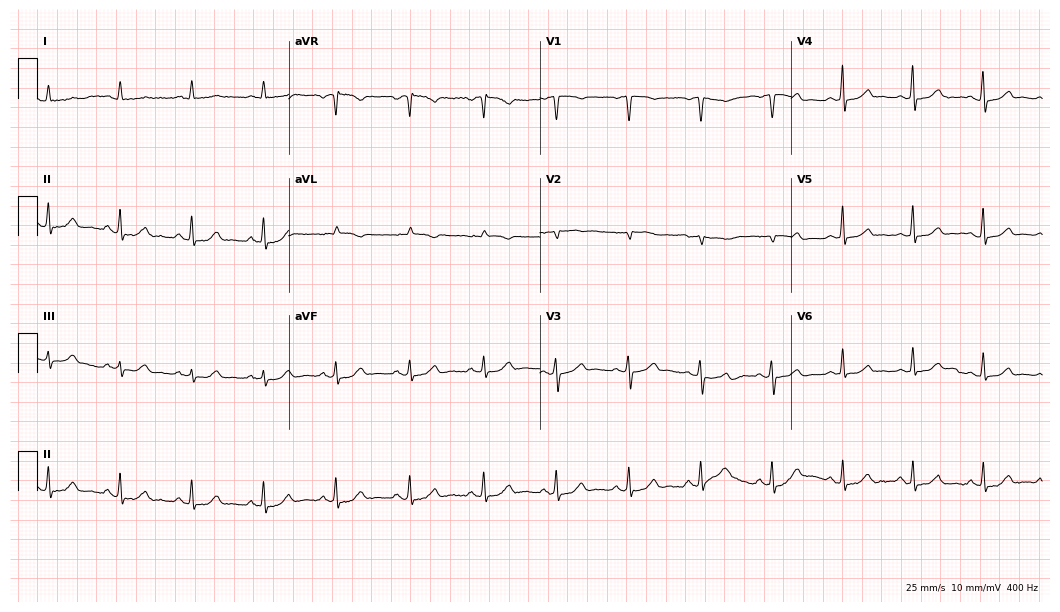
12-lead ECG from a female, 52 years old. Labelled as a normal ECG.